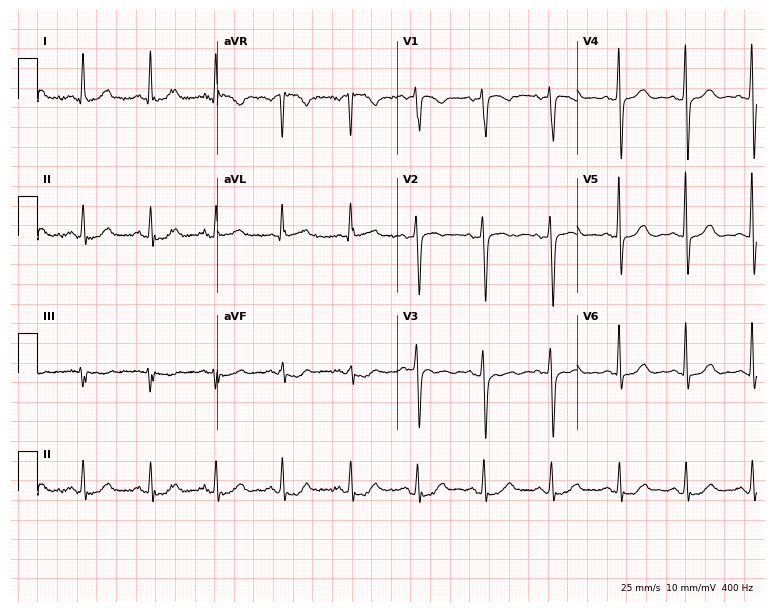
Resting 12-lead electrocardiogram (7.3-second recording at 400 Hz). Patient: a female, 63 years old. None of these six findings is recorded: first-degree AV block, right bundle branch block, left bundle branch block, sinus bradycardia, atrial fibrillation, sinus tachycardia.